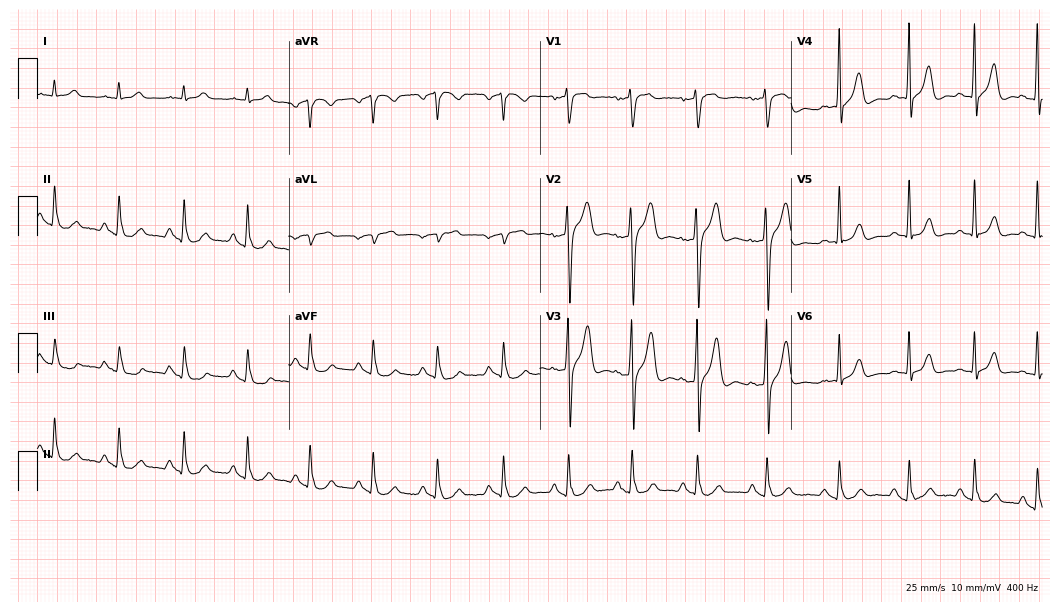
12-lead ECG (10.2-second recording at 400 Hz) from a 55-year-old male. Labelled as a normal ECG.